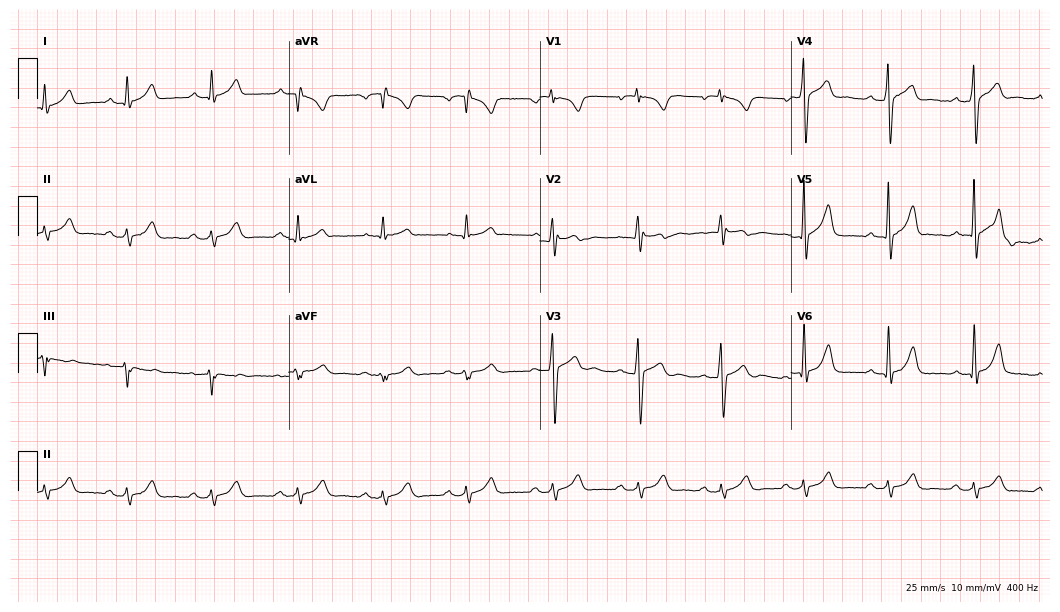
12-lead ECG (10.2-second recording at 400 Hz) from a male patient, 31 years old. Labelled as a normal ECG.